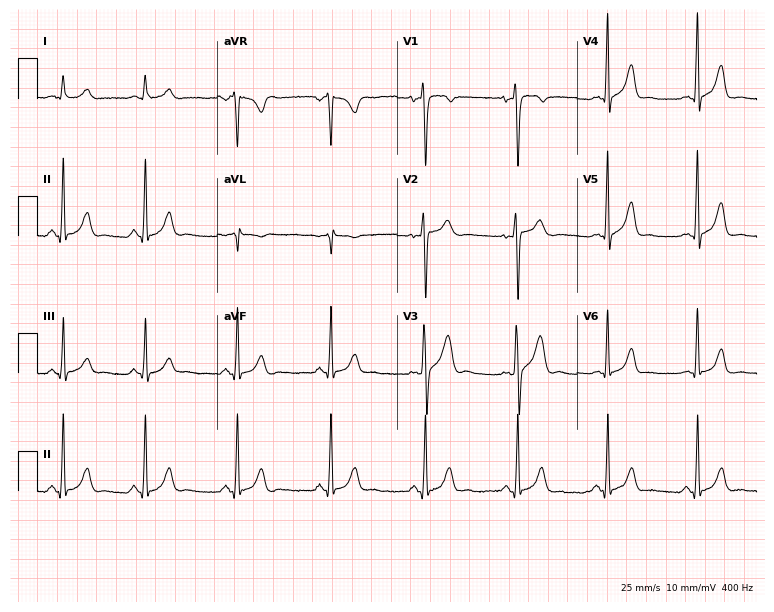
Electrocardiogram (7.3-second recording at 400 Hz), a man, 29 years old. Overall reading on record: normal ECG.